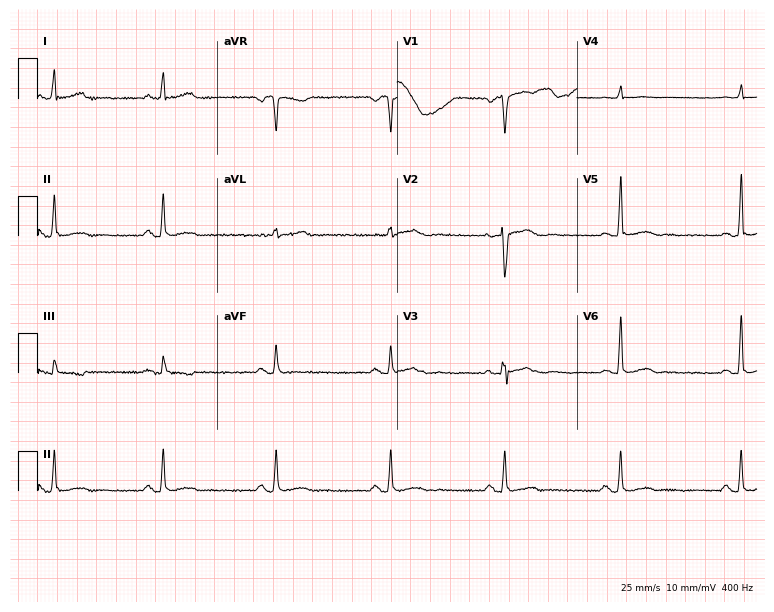
Resting 12-lead electrocardiogram (7.3-second recording at 400 Hz). Patient: a 50-year-old male. Read as a normal ECG.